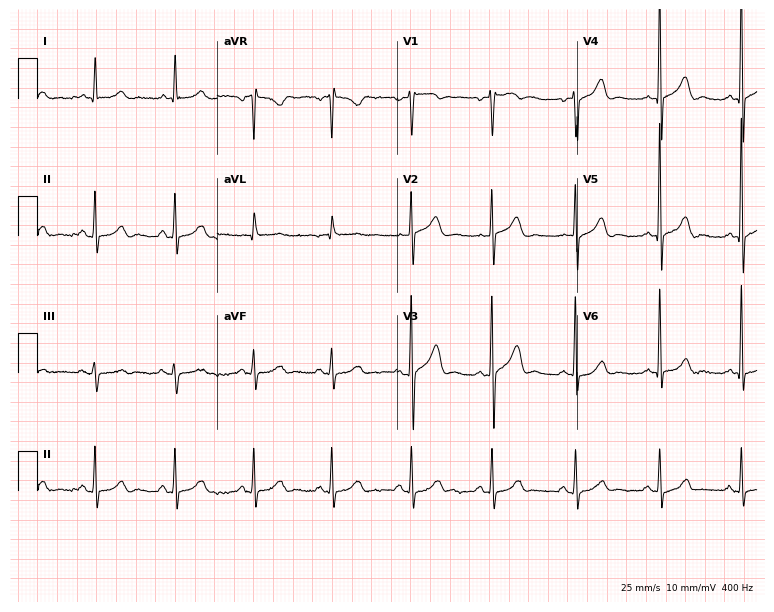
Standard 12-lead ECG recorded from a male patient, 58 years old (7.3-second recording at 400 Hz). Read as a normal ECG.